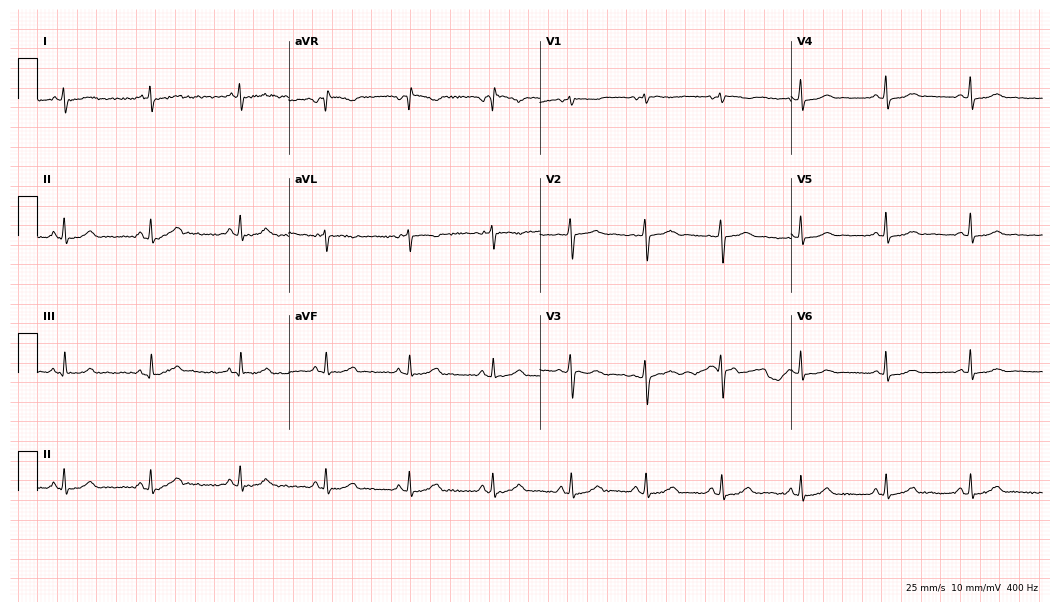
12-lead ECG from a female patient, 38 years old. Recorded interpretation: within normal limits.